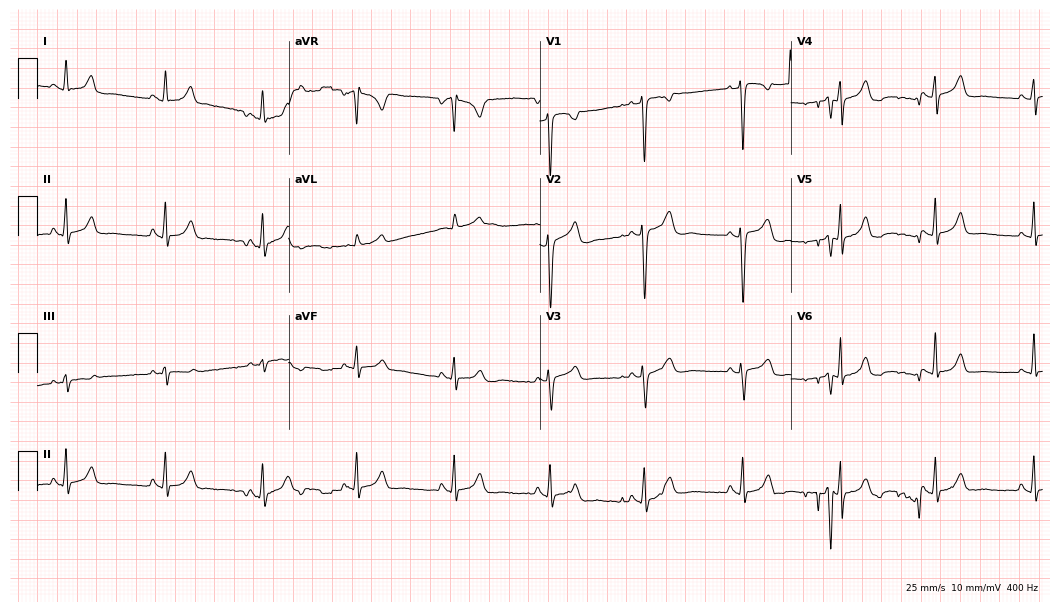
Standard 12-lead ECG recorded from a 25-year-old female (10.2-second recording at 400 Hz). Read as a normal ECG.